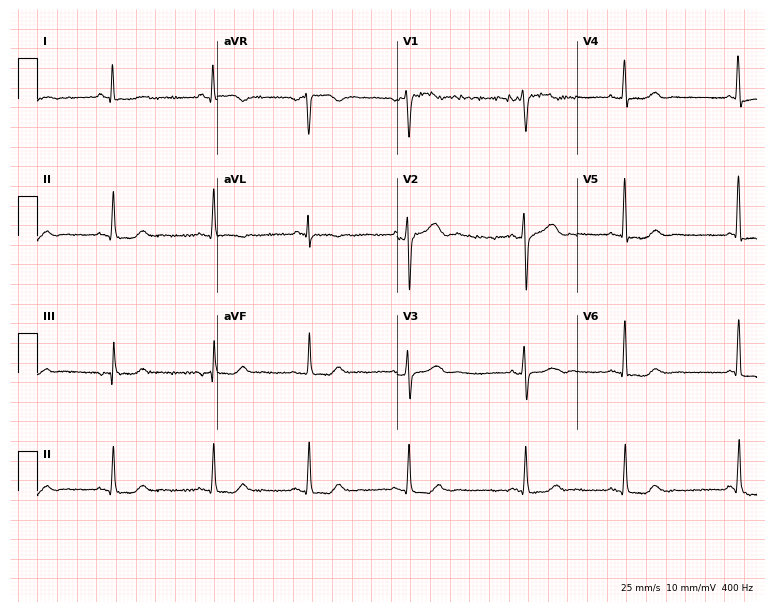
ECG (7.3-second recording at 400 Hz) — a 59-year-old woman. Screened for six findings — first-degree AV block, right bundle branch block, left bundle branch block, sinus bradycardia, atrial fibrillation, sinus tachycardia — none is recorded. Findings outside these six are not listed.